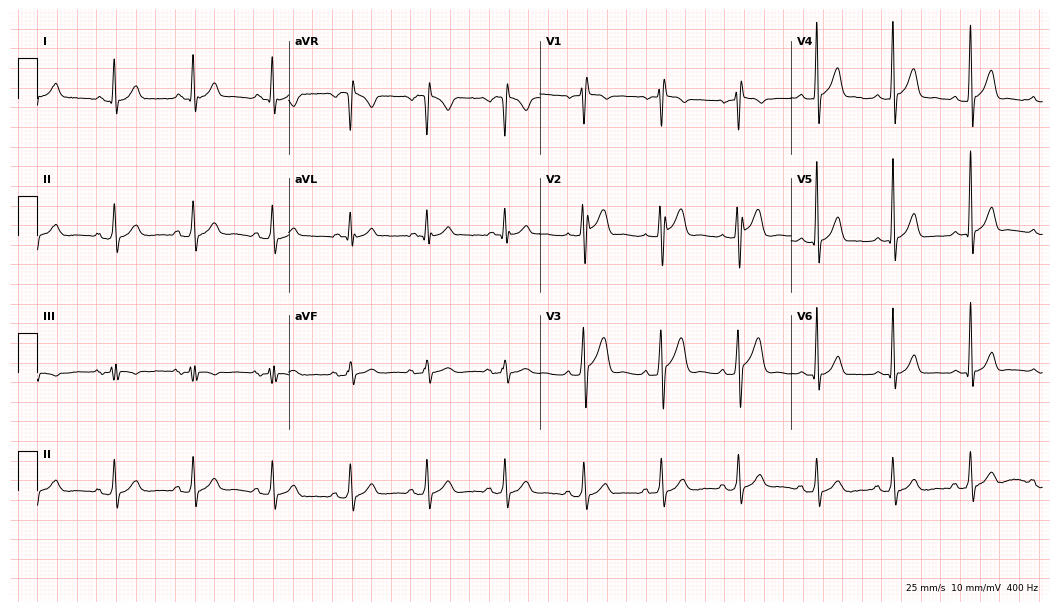
Resting 12-lead electrocardiogram. Patient: a 32-year-old male. None of these six findings is recorded: first-degree AV block, right bundle branch block (RBBB), left bundle branch block (LBBB), sinus bradycardia, atrial fibrillation (AF), sinus tachycardia. Only these six findings were labelled.